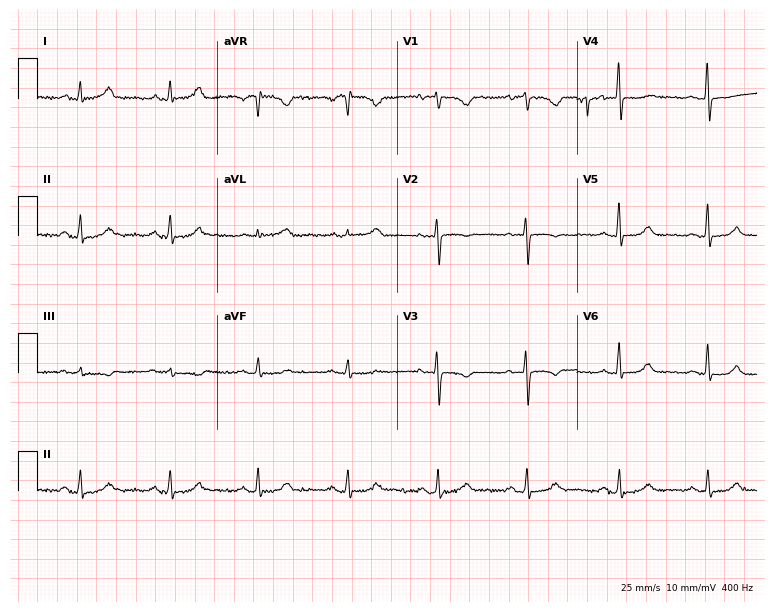
Standard 12-lead ECG recorded from a woman, 62 years old (7.3-second recording at 400 Hz). None of these six findings is recorded: first-degree AV block, right bundle branch block (RBBB), left bundle branch block (LBBB), sinus bradycardia, atrial fibrillation (AF), sinus tachycardia. Only these six findings were labelled.